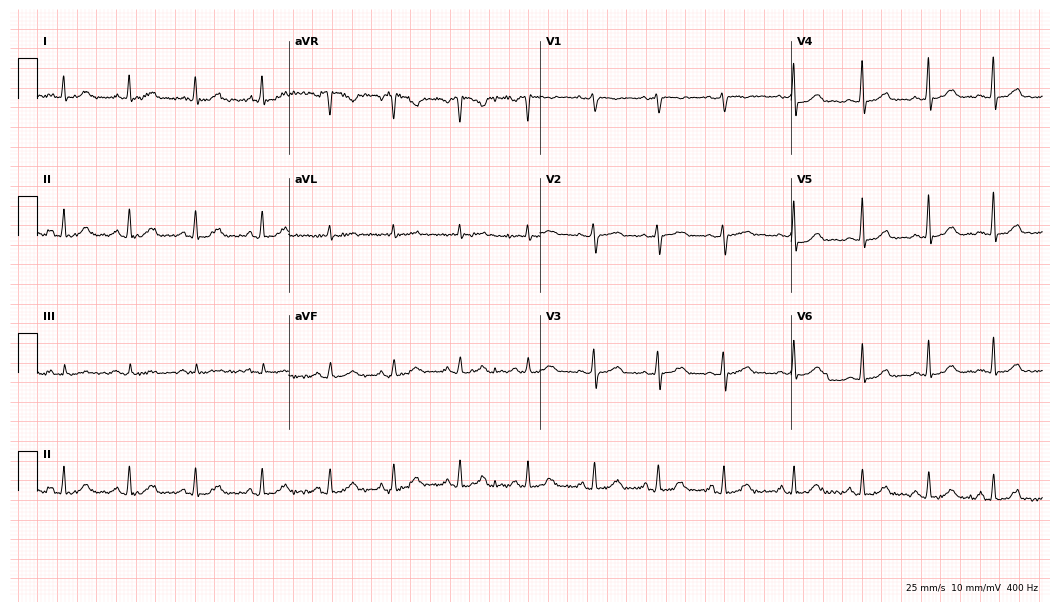
12-lead ECG from a female patient, 36 years old. Recorded interpretation: within normal limits.